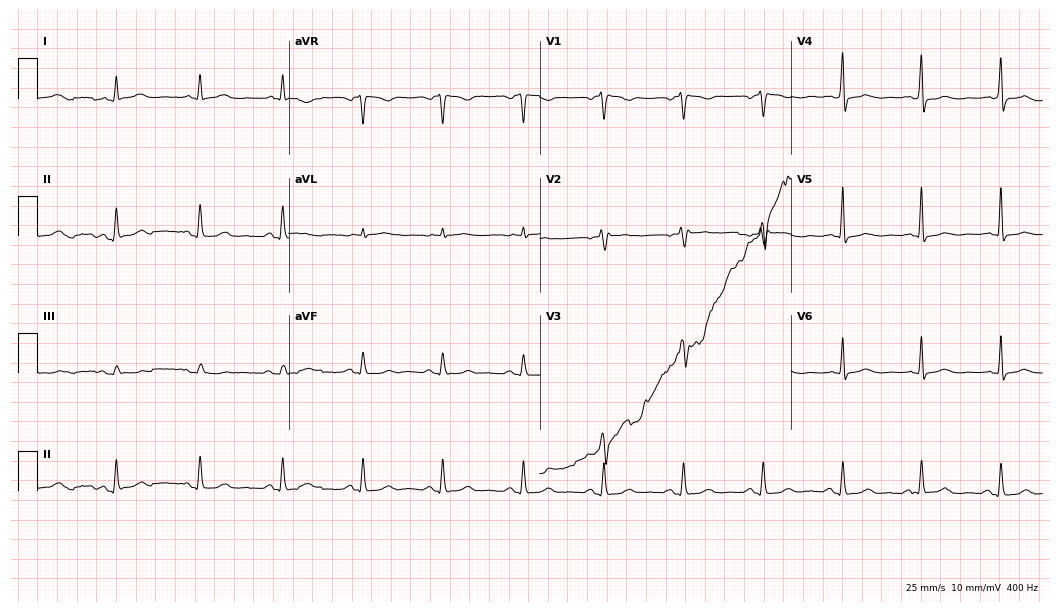
Resting 12-lead electrocardiogram. Patient: a female, 50 years old. None of these six findings is recorded: first-degree AV block, right bundle branch block, left bundle branch block, sinus bradycardia, atrial fibrillation, sinus tachycardia.